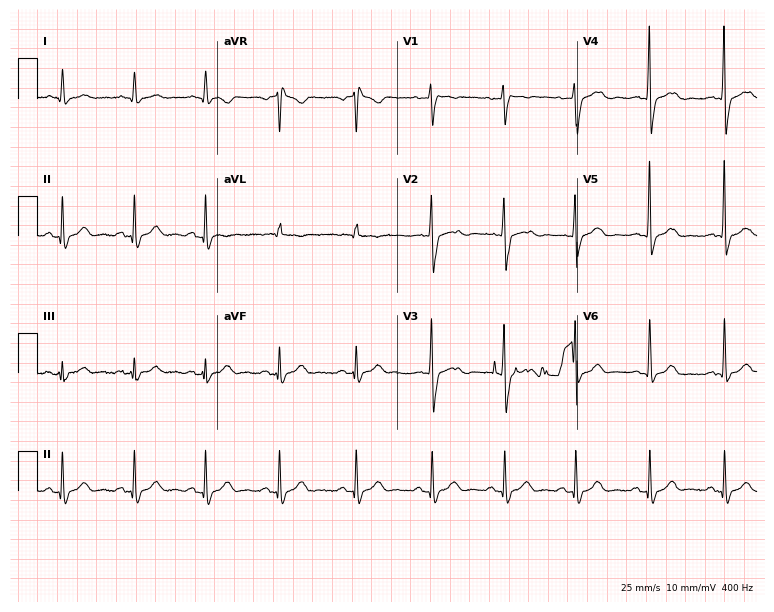
12-lead ECG (7.3-second recording at 400 Hz) from a female, 37 years old. Screened for six findings — first-degree AV block, right bundle branch block, left bundle branch block, sinus bradycardia, atrial fibrillation, sinus tachycardia — none is recorded. Only these six findings were labelled.